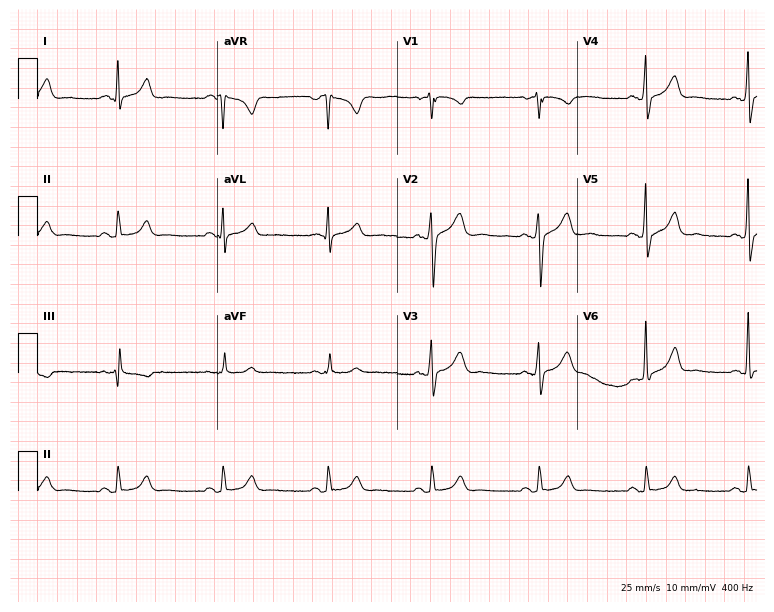
Standard 12-lead ECG recorded from a 45-year-old male patient. Read as a normal ECG.